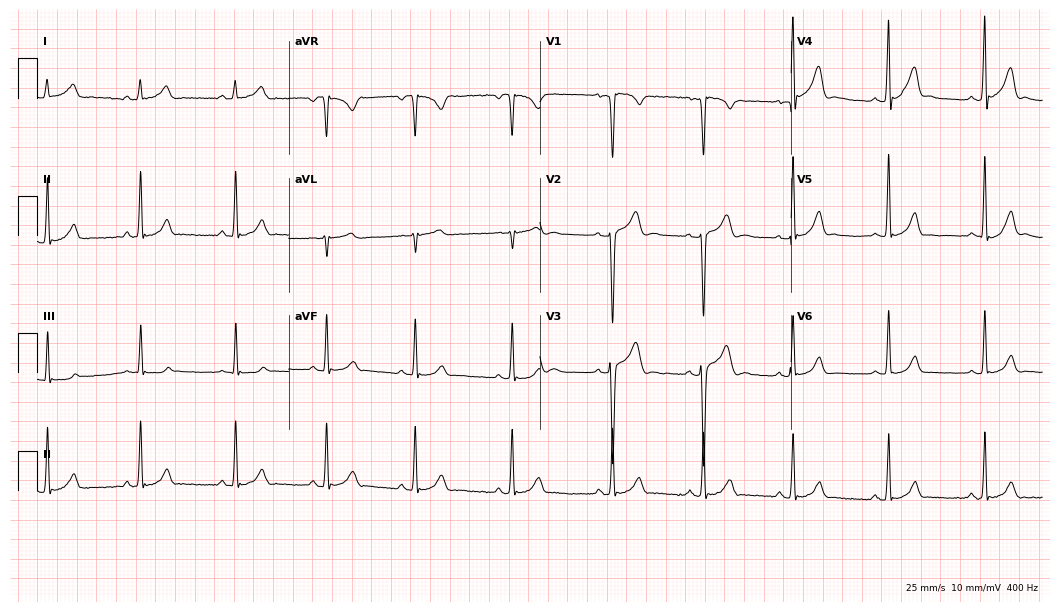
12-lead ECG (10.2-second recording at 400 Hz) from a 23-year-old man. Labelled as a normal ECG.